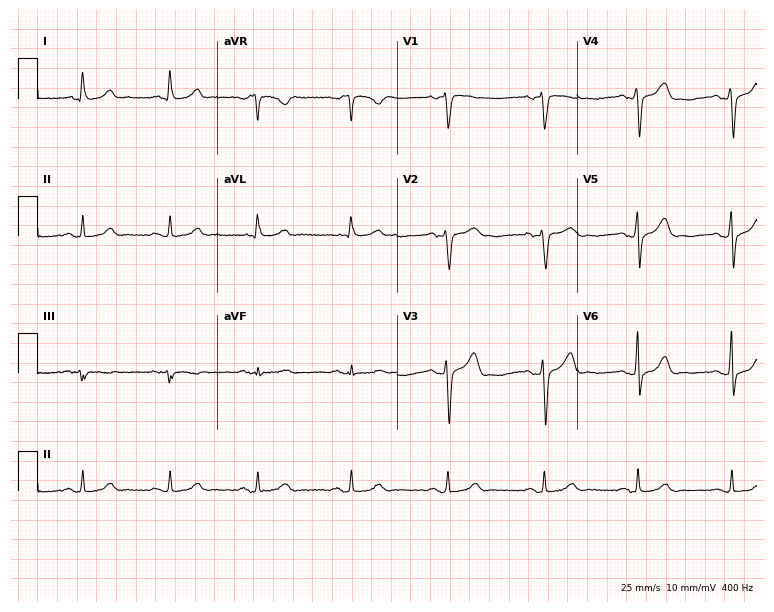
12-lead ECG from a 64-year-old man. Recorded interpretation: within normal limits.